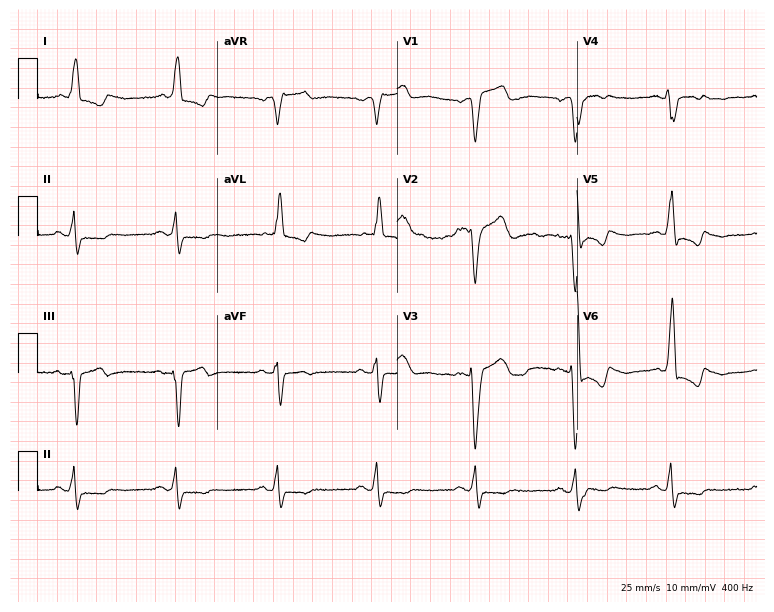
ECG — a male patient, 84 years old. Findings include left bundle branch block.